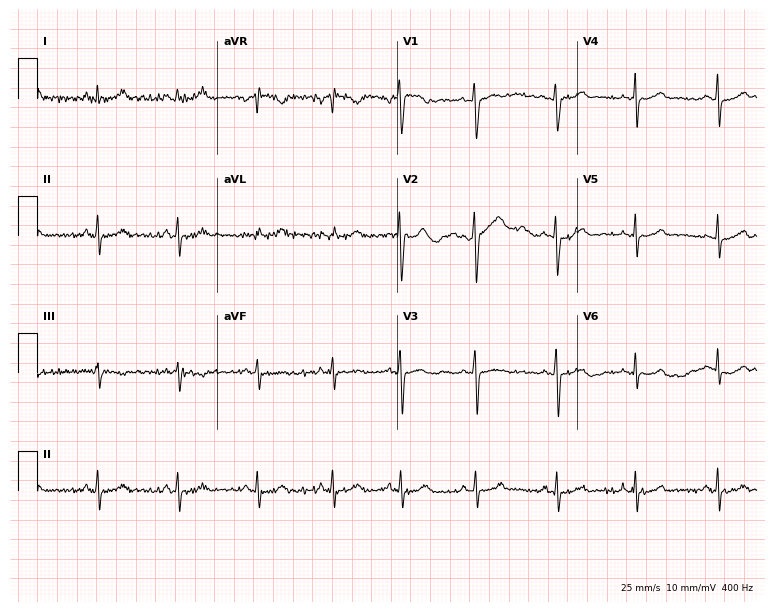
ECG (7.3-second recording at 400 Hz) — an 18-year-old female. Screened for six findings — first-degree AV block, right bundle branch block, left bundle branch block, sinus bradycardia, atrial fibrillation, sinus tachycardia — none is recorded.